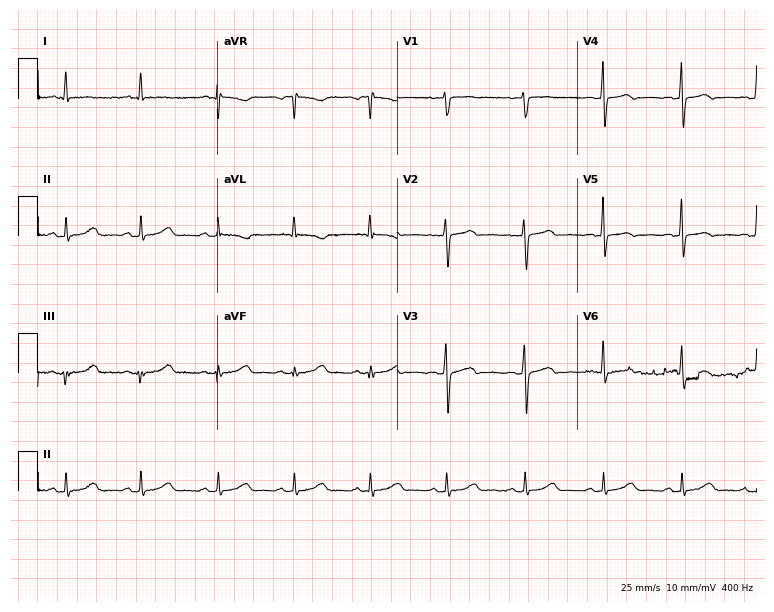
12-lead ECG (7.3-second recording at 400 Hz) from a female, 36 years old. Screened for six findings — first-degree AV block, right bundle branch block, left bundle branch block, sinus bradycardia, atrial fibrillation, sinus tachycardia — none is recorded. Other findings, if any, are not listed.